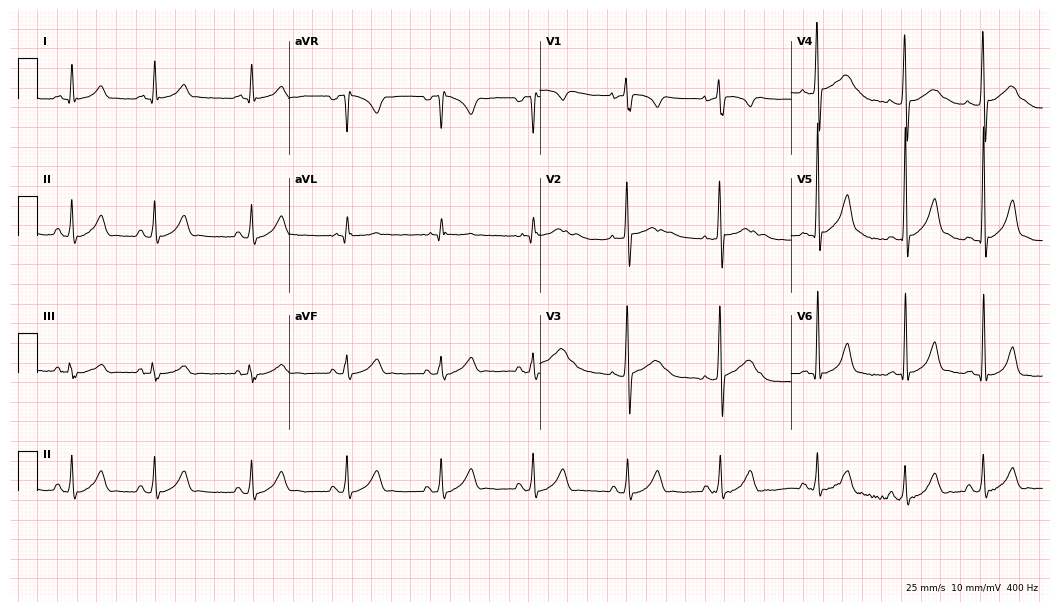
Standard 12-lead ECG recorded from a male patient, 17 years old (10.2-second recording at 400 Hz). Read as a normal ECG.